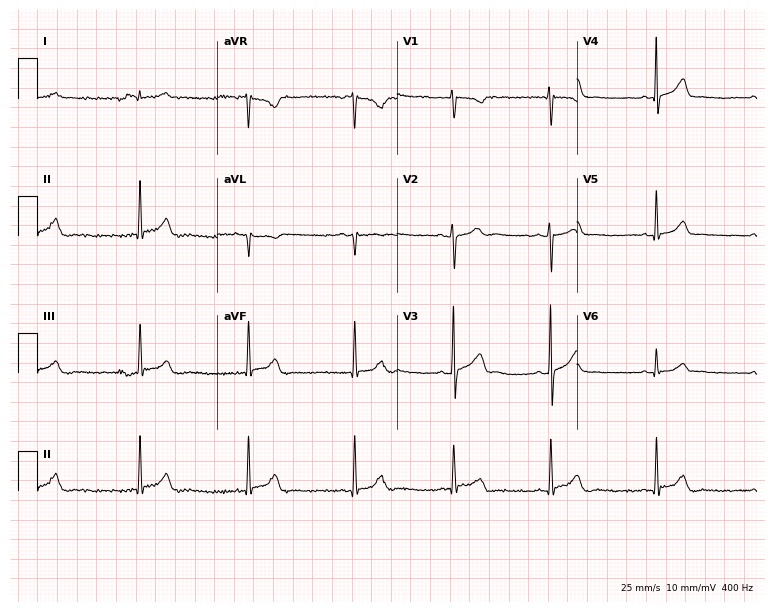
Standard 12-lead ECG recorded from a 23-year-old male patient. Read as a normal ECG.